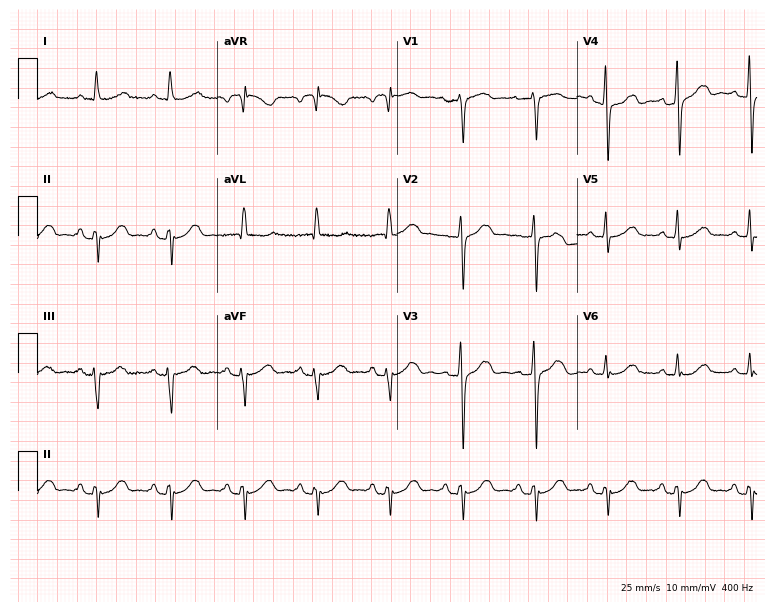
Resting 12-lead electrocardiogram. Patient: a female, 69 years old. None of these six findings is recorded: first-degree AV block, right bundle branch block, left bundle branch block, sinus bradycardia, atrial fibrillation, sinus tachycardia. Only these six findings were labelled.